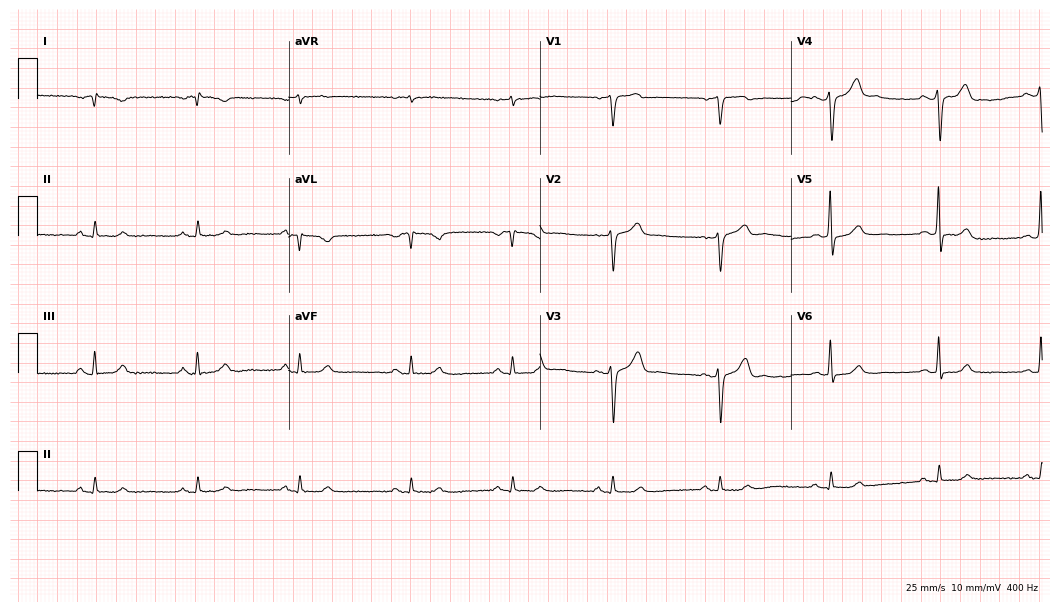
12-lead ECG from a woman, 73 years old. Screened for six findings — first-degree AV block, right bundle branch block, left bundle branch block, sinus bradycardia, atrial fibrillation, sinus tachycardia — none is recorded. Only these six findings were labelled.